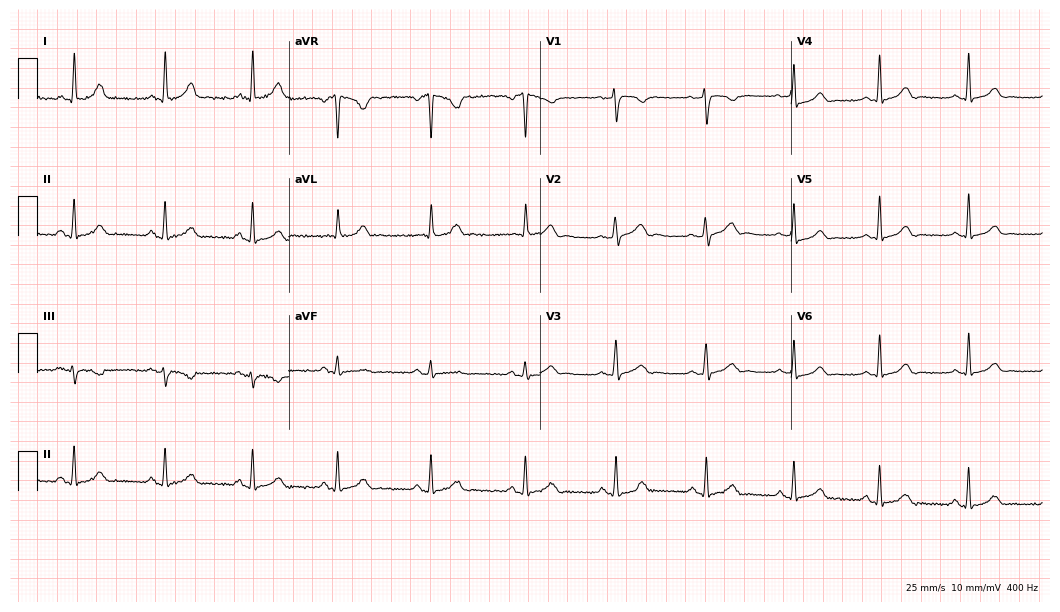
12-lead ECG (10.2-second recording at 400 Hz) from a 47-year-old female patient. Screened for six findings — first-degree AV block, right bundle branch block, left bundle branch block, sinus bradycardia, atrial fibrillation, sinus tachycardia — none is recorded.